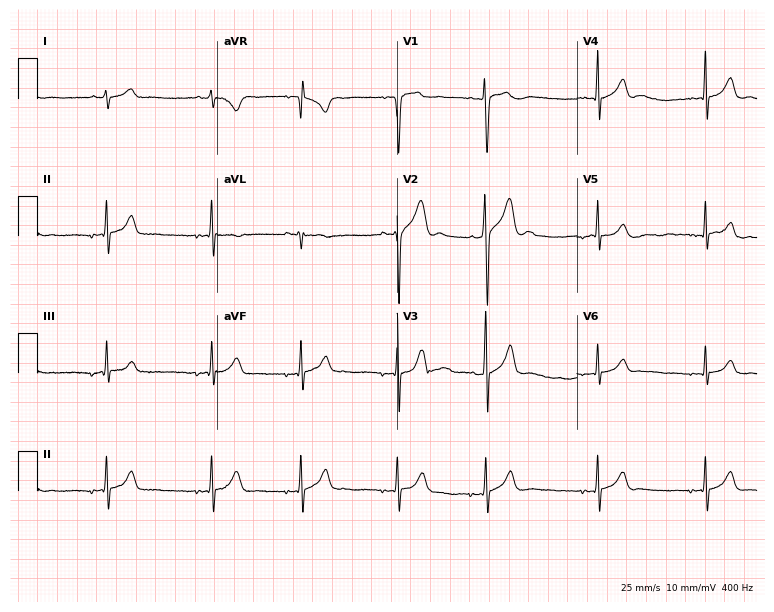
Standard 12-lead ECG recorded from a male patient, 17 years old. None of these six findings is recorded: first-degree AV block, right bundle branch block, left bundle branch block, sinus bradycardia, atrial fibrillation, sinus tachycardia. Findings outside these six are not listed.